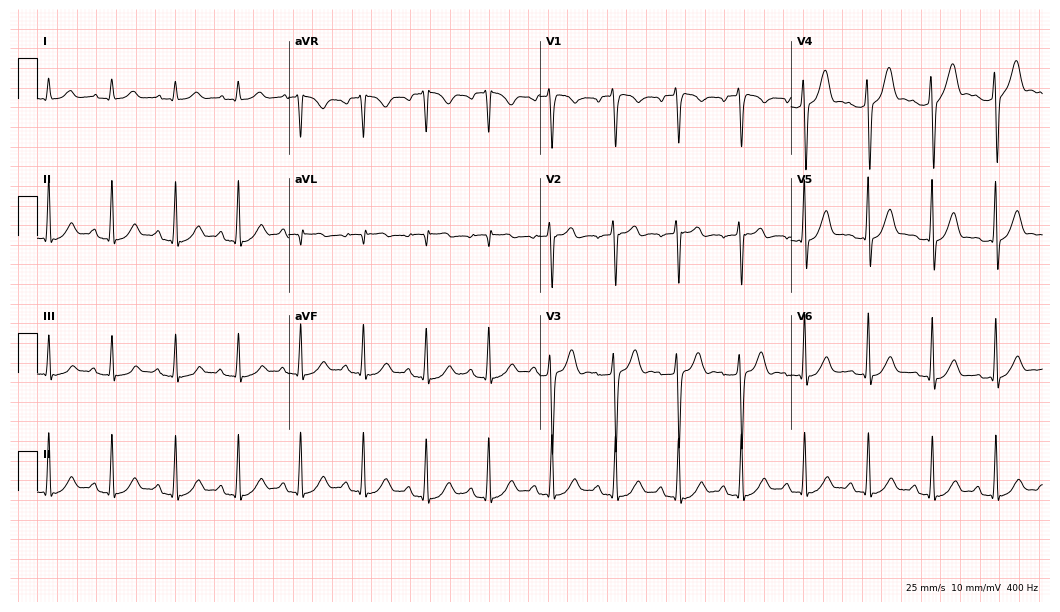
12-lead ECG from a male, 27 years old (10.2-second recording at 400 Hz). No first-degree AV block, right bundle branch block, left bundle branch block, sinus bradycardia, atrial fibrillation or sinus tachycardia recorded for this tracing. Findings outside these six are not listed.